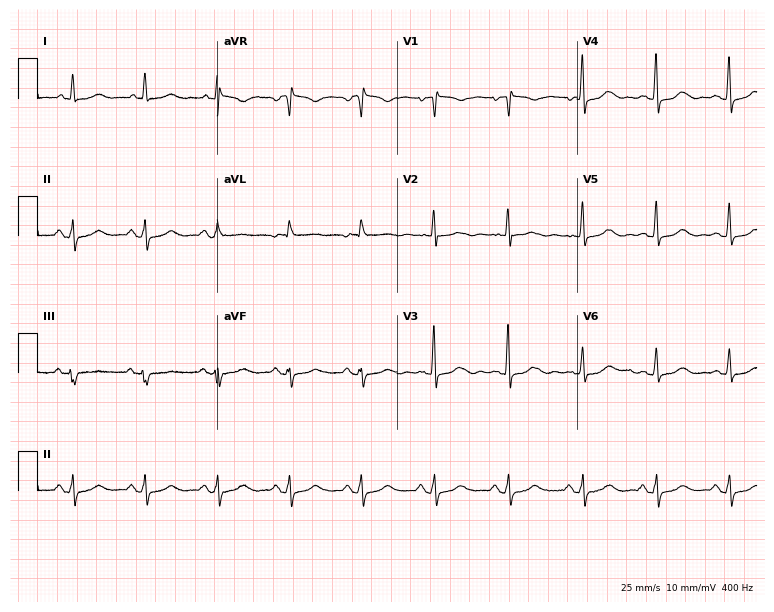
Electrocardiogram (7.3-second recording at 400 Hz), an 80-year-old female. Overall reading on record: normal ECG.